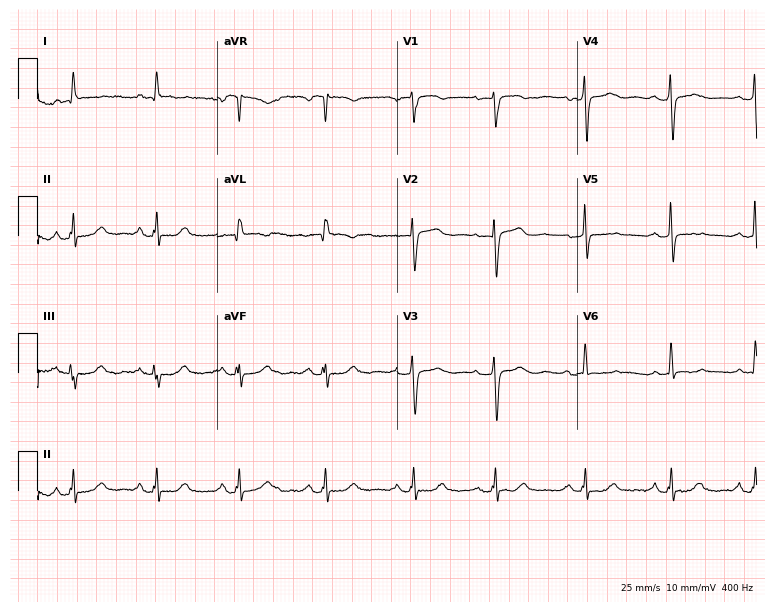
ECG — a 79-year-old female. Screened for six findings — first-degree AV block, right bundle branch block, left bundle branch block, sinus bradycardia, atrial fibrillation, sinus tachycardia — none is recorded.